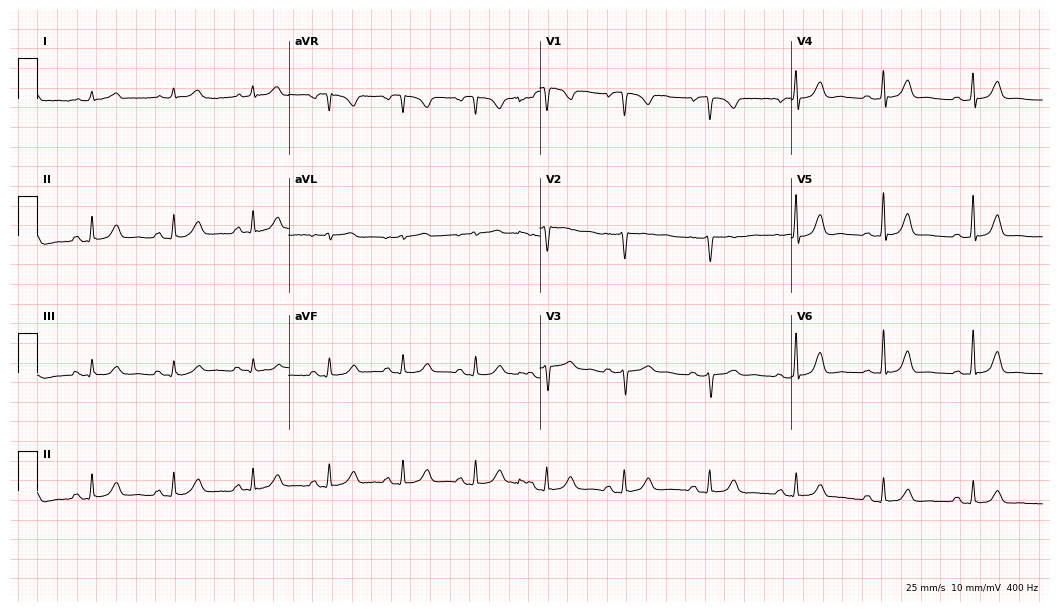
Resting 12-lead electrocardiogram (10.2-second recording at 400 Hz). Patient: a 49-year-old woman. Read as a normal ECG.